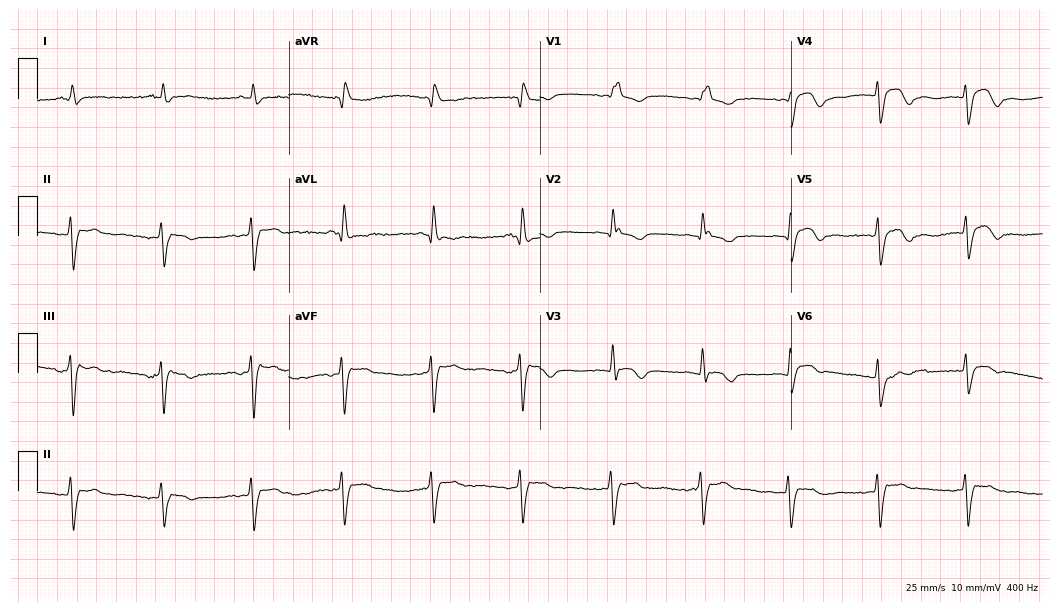
12-lead ECG from an 83-year-old woman. No first-degree AV block, right bundle branch block (RBBB), left bundle branch block (LBBB), sinus bradycardia, atrial fibrillation (AF) or sinus tachycardia recorded for this tracing. Only these six findings were labelled.